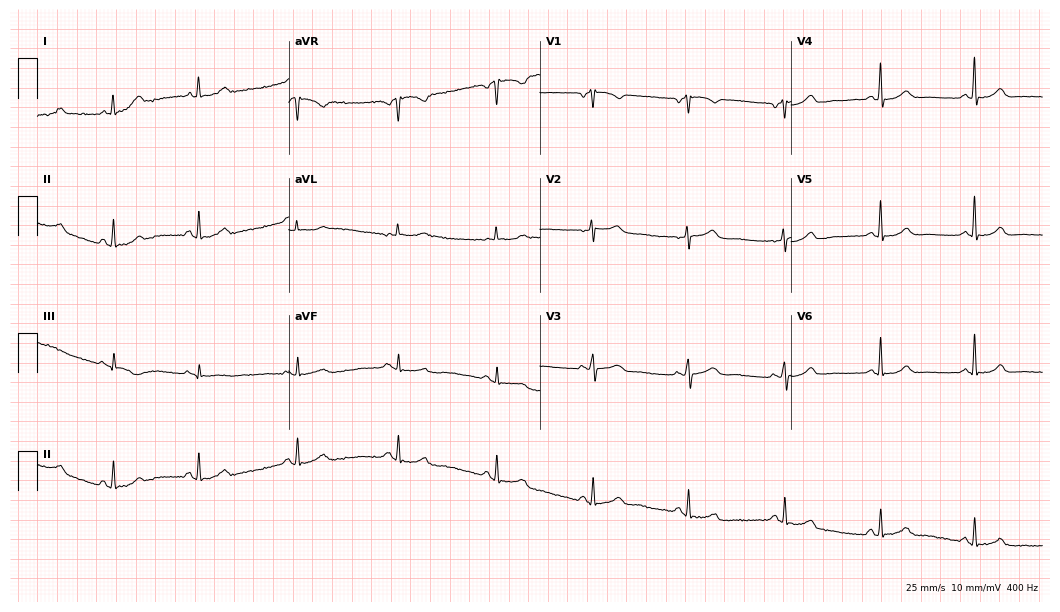
ECG (10.2-second recording at 400 Hz) — a 56-year-old female patient. Labelled as a normal ECG.